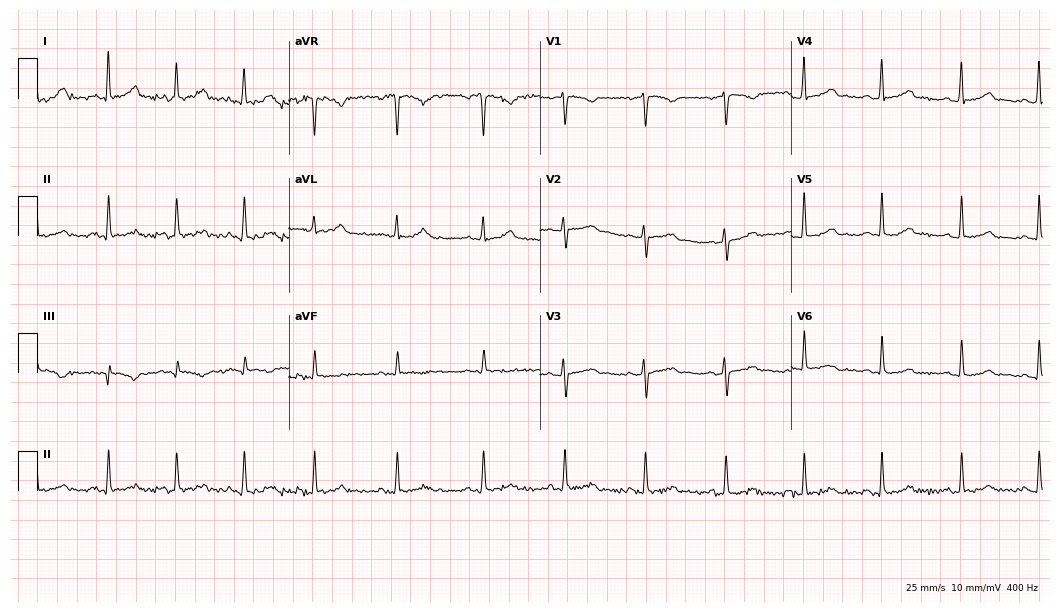
Electrocardiogram, a female patient, 33 years old. Overall reading on record: normal ECG.